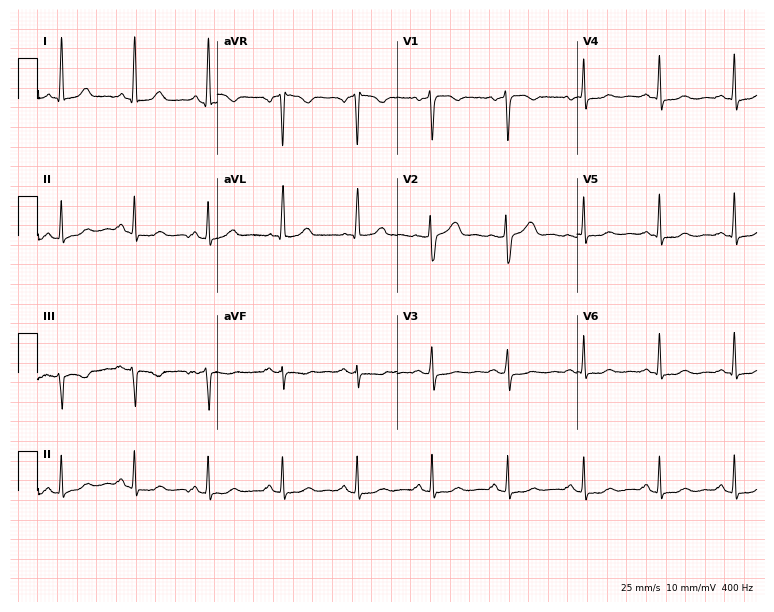
Standard 12-lead ECG recorded from a 51-year-old woman (7.3-second recording at 400 Hz). Read as a normal ECG.